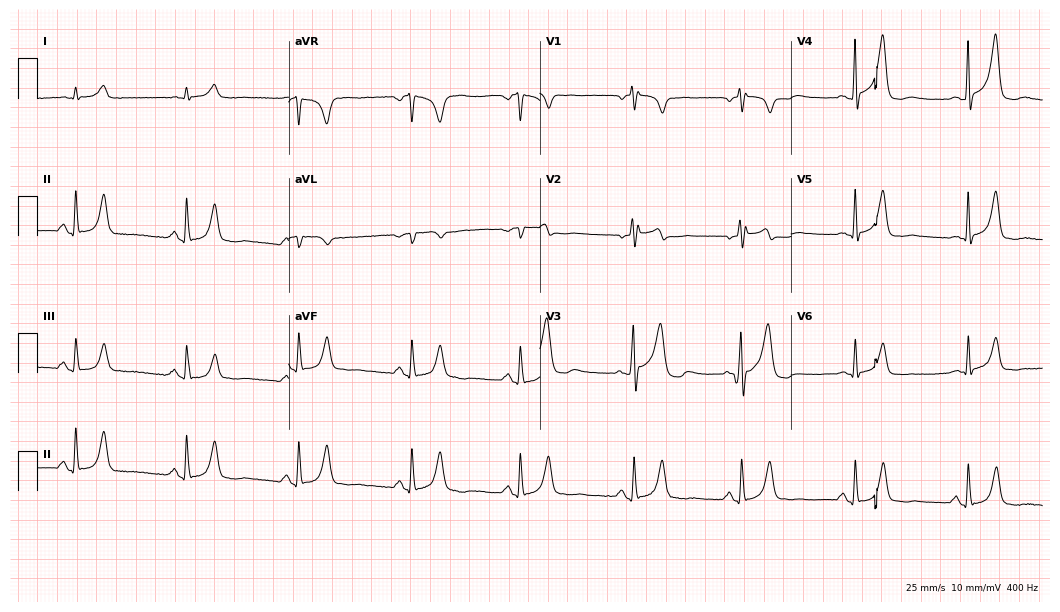
12-lead ECG from a 75-year-old male patient (10.2-second recording at 400 Hz). Recorded interpretation: within normal limits.